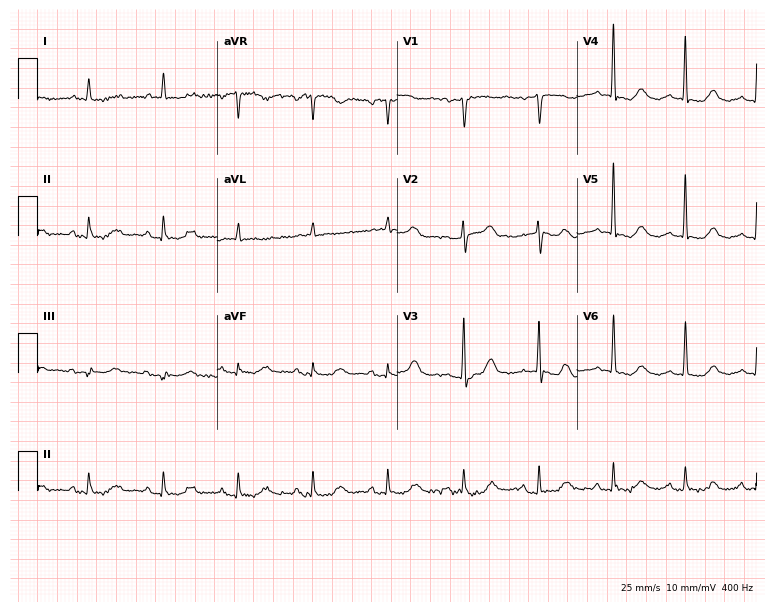
12-lead ECG from a female patient, 76 years old. Screened for six findings — first-degree AV block, right bundle branch block, left bundle branch block, sinus bradycardia, atrial fibrillation, sinus tachycardia — none is recorded.